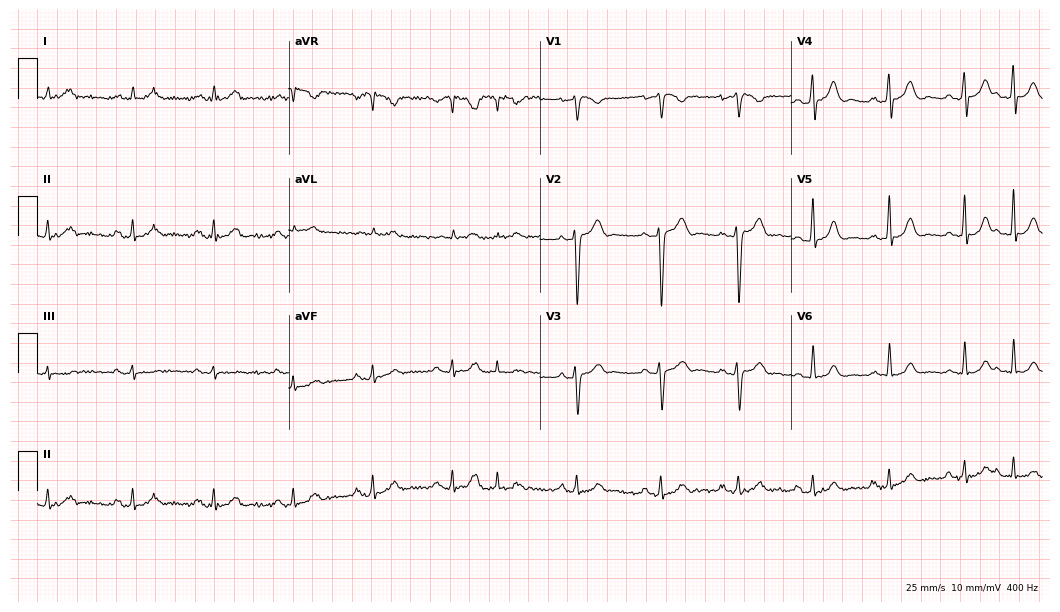
Electrocardiogram (10.2-second recording at 400 Hz), a man, 43 years old. Of the six screened findings (first-degree AV block, right bundle branch block, left bundle branch block, sinus bradycardia, atrial fibrillation, sinus tachycardia), none is recorded.